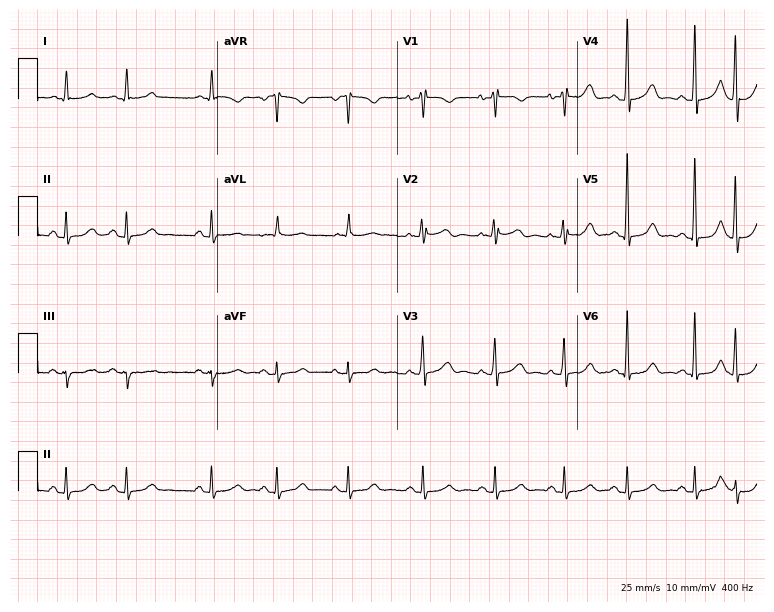
Standard 12-lead ECG recorded from a female, 64 years old. Read as a normal ECG.